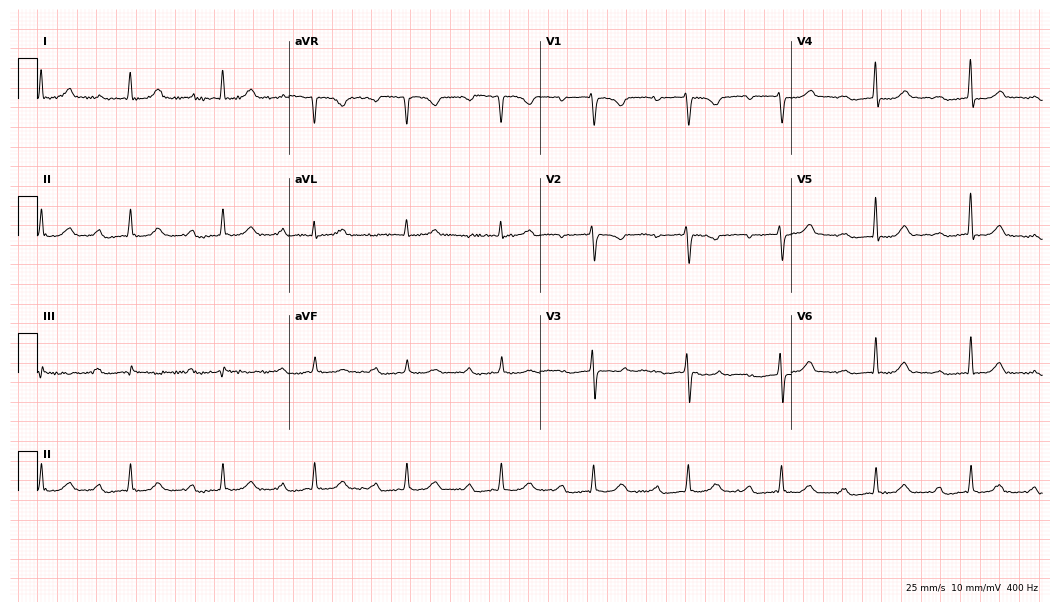
12-lead ECG from a female, 42 years old. Shows first-degree AV block.